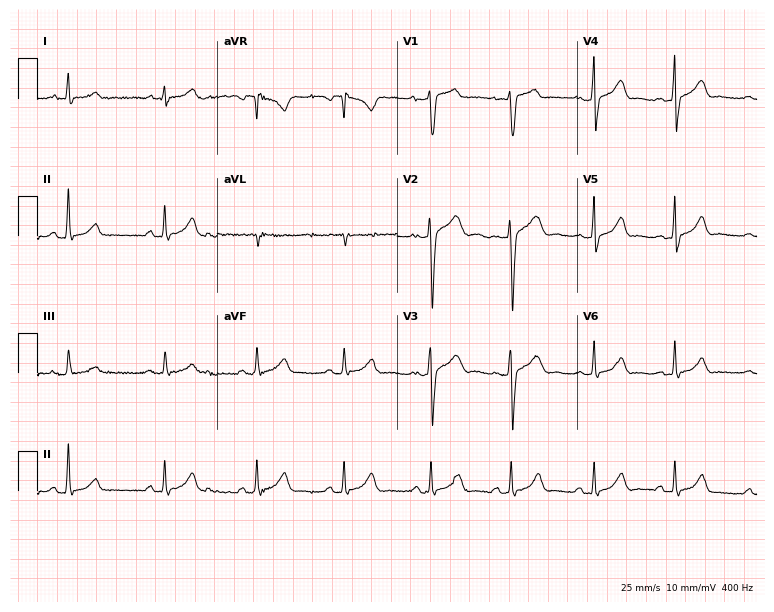
Resting 12-lead electrocardiogram (7.3-second recording at 400 Hz). Patient: a 20-year-old male. Read as a normal ECG.